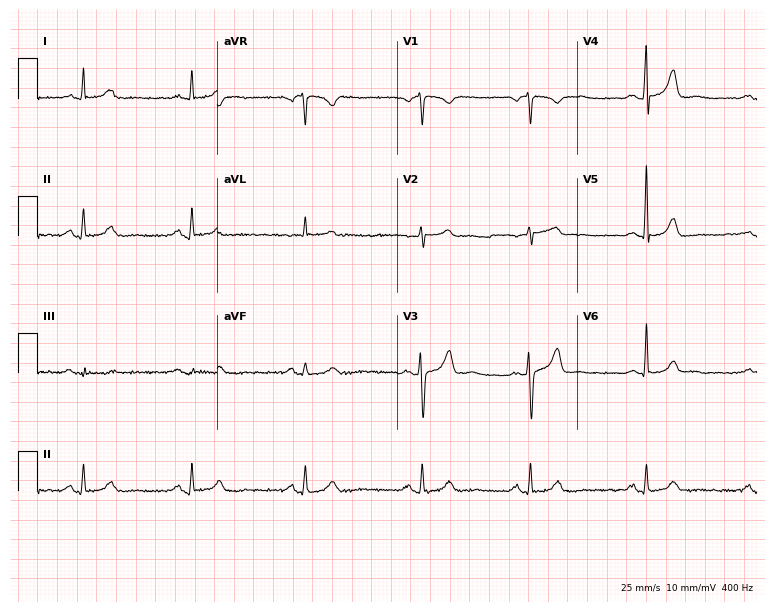
ECG (7.3-second recording at 400 Hz) — a 69-year-old man. Screened for six findings — first-degree AV block, right bundle branch block, left bundle branch block, sinus bradycardia, atrial fibrillation, sinus tachycardia — none is recorded.